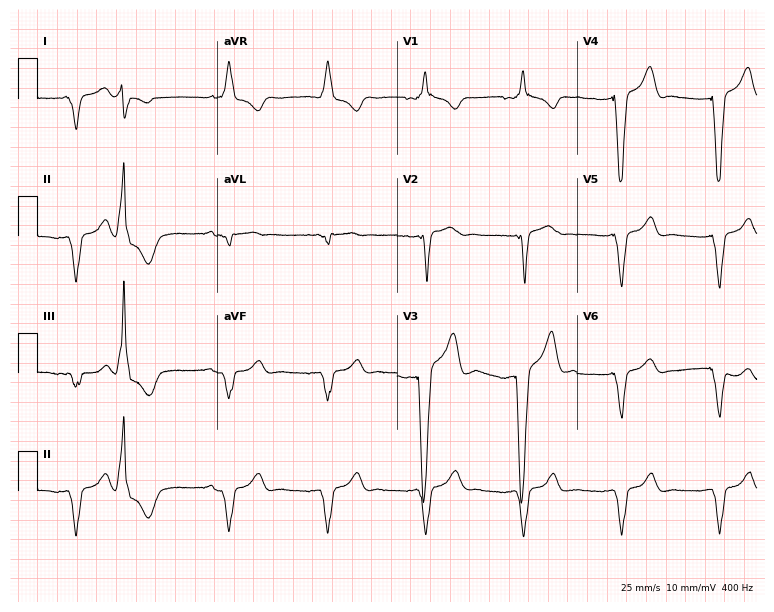
Standard 12-lead ECG recorded from a male patient, 39 years old. None of these six findings is recorded: first-degree AV block, right bundle branch block, left bundle branch block, sinus bradycardia, atrial fibrillation, sinus tachycardia. Other findings, if any, are not listed.